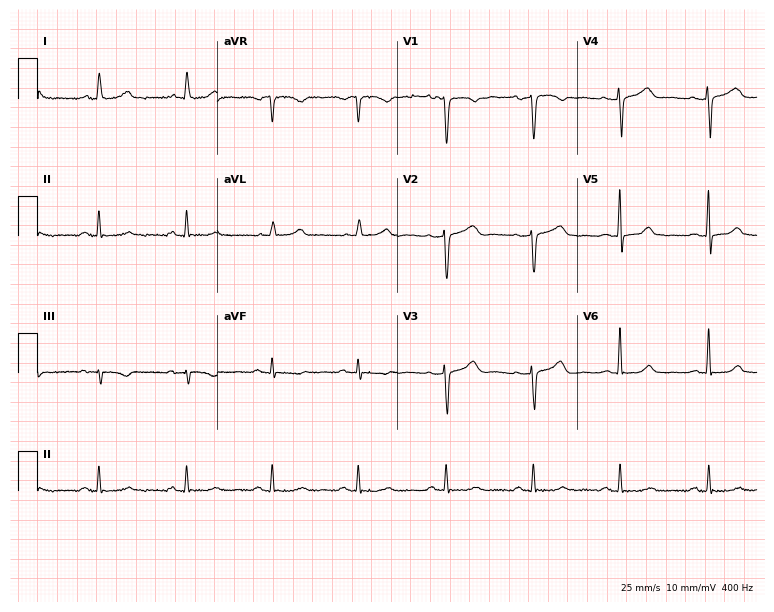
Standard 12-lead ECG recorded from a 53-year-old female (7.3-second recording at 400 Hz). None of these six findings is recorded: first-degree AV block, right bundle branch block (RBBB), left bundle branch block (LBBB), sinus bradycardia, atrial fibrillation (AF), sinus tachycardia. Findings outside these six are not listed.